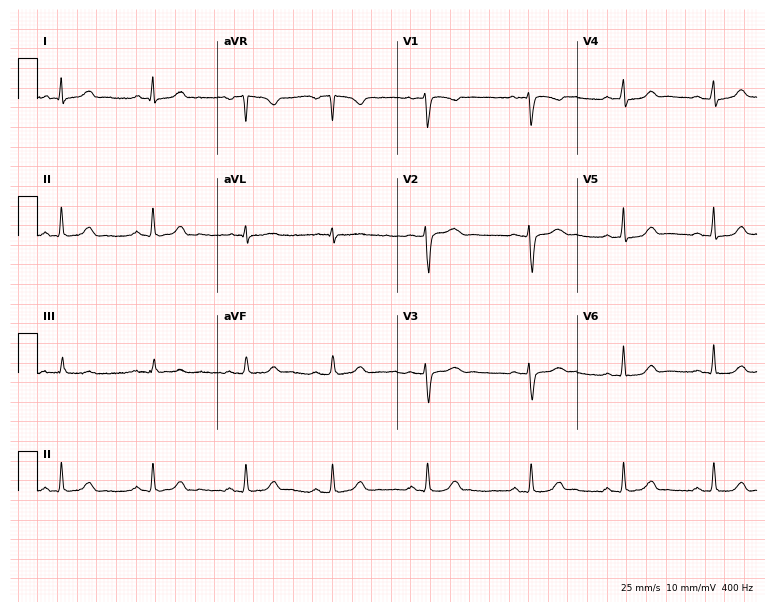
ECG — a 30-year-old female patient. Labelled as a normal ECG.